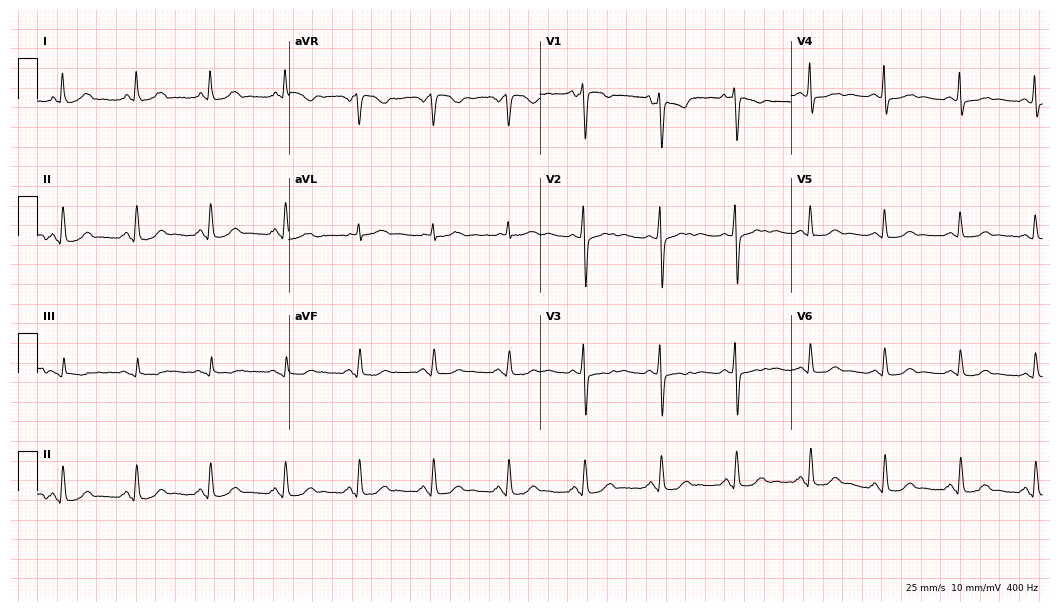
ECG — a 56-year-old female. Labelled as a normal ECG.